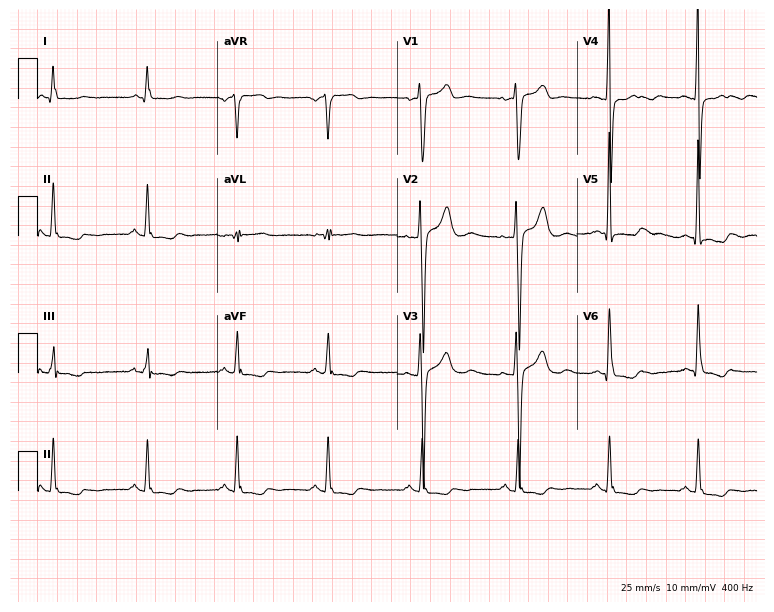
Standard 12-lead ECG recorded from a man, 46 years old. None of these six findings is recorded: first-degree AV block, right bundle branch block (RBBB), left bundle branch block (LBBB), sinus bradycardia, atrial fibrillation (AF), sinus tachycardia. Findings outside these six are not listed.